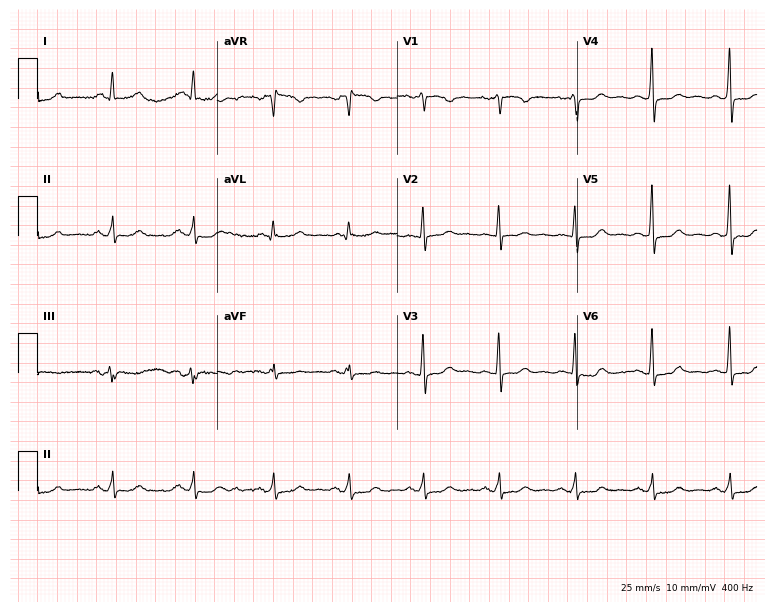
Standard 12-lead ECG recorded from a woman, 60 years old (7.3-second recording at 400 Hz). None of these six findings is recorded: first-degree AV block, right bundle branch block, left bundle branch block, sinus bradycardia, atrial fibrillation, sinus tachycardia.